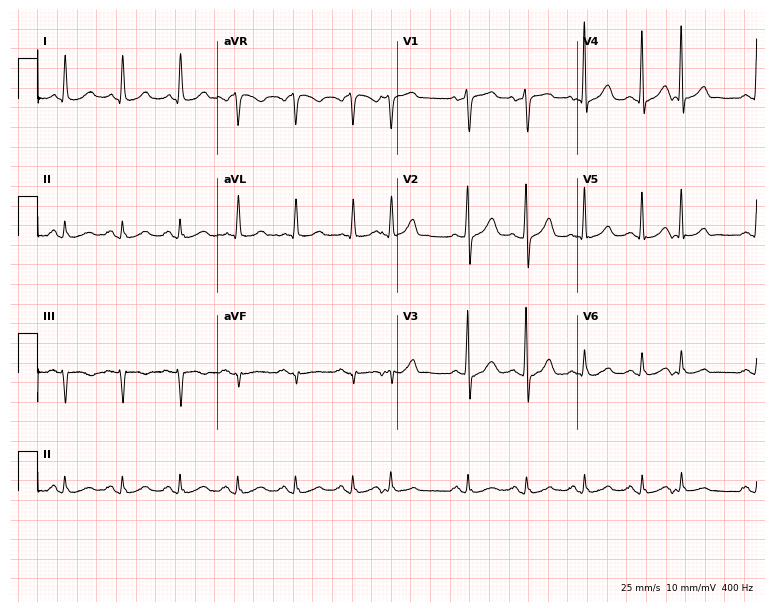
12-lead ECG from a 79-year-old female patient. Shows sinus tachycardia (a sinus rate of 100 beats per minute or more).